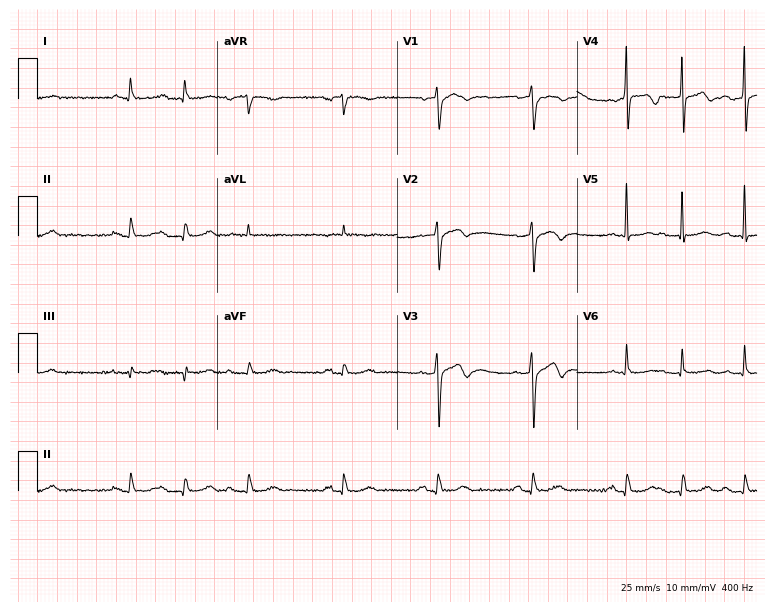
Standard 12-lead ECG recorded from a 78-year-old male patient (7.3-second recording at 400 Hz). None of these six findings is recorded: first-degree AV block, right bundle branch block (RBBB), left bundle branch block (LBBB), sinus bradycardia, atrial fibrillation (AF), sinus tachycardia.